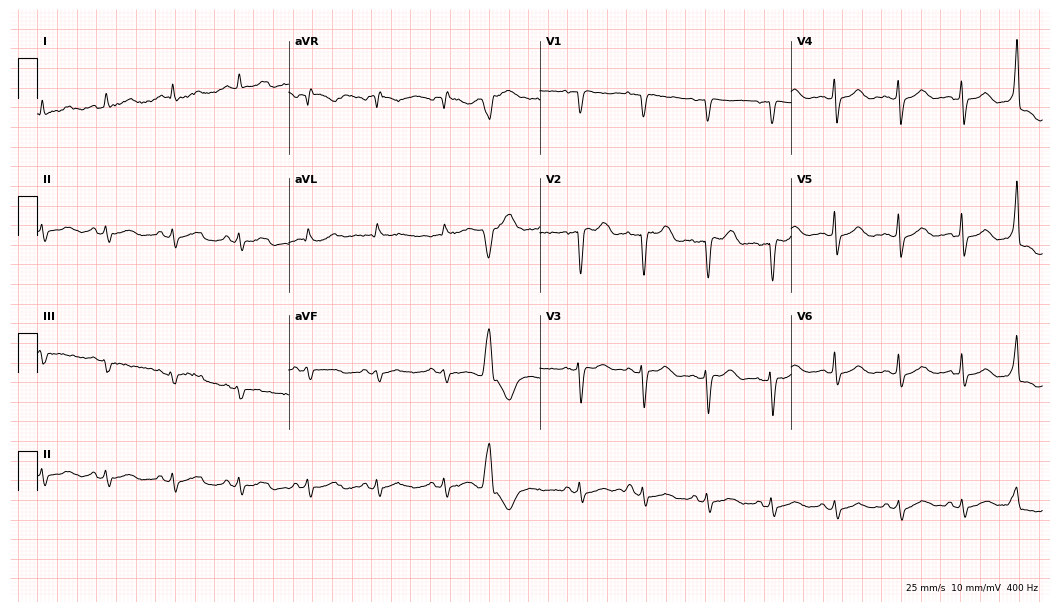
Resting 12-lead electrocardiogram (10.2-second recording at 400 Hz). Patient: a male, 66 years old. None of these six findings is recorded: first-degree AV block, right bundle branch block (RBBB), left bundle branch block (LBBB), sinus bradycardia, atrial fibrillation (AF), sinus tachycardia. Only these six findings were labelled.